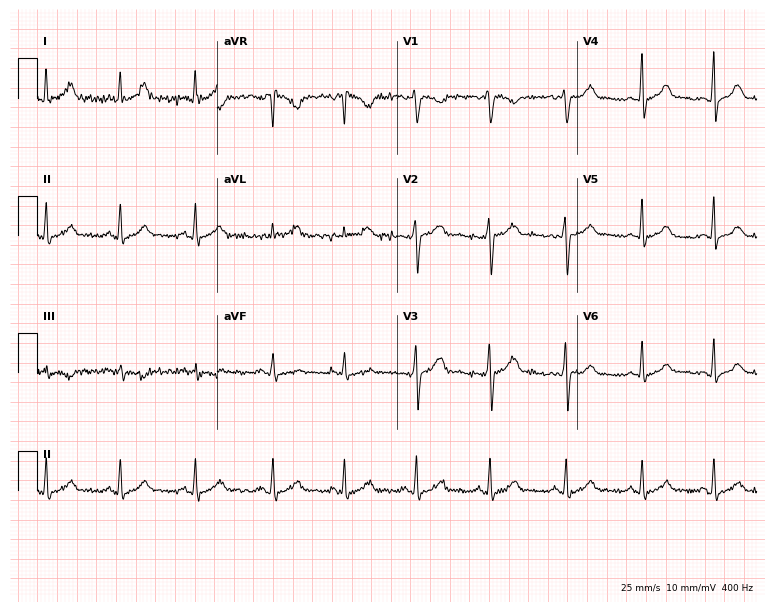
Resting 12-lead electrocardiogram. Patient: a 29-year-old female. None of these six findings is recorded: first-degree AV block, right bundle branch block (RBBB), left bundle branch block (LBBB), sinus bradycardia, atrial fibrillation (AF), sinus tachycardia.